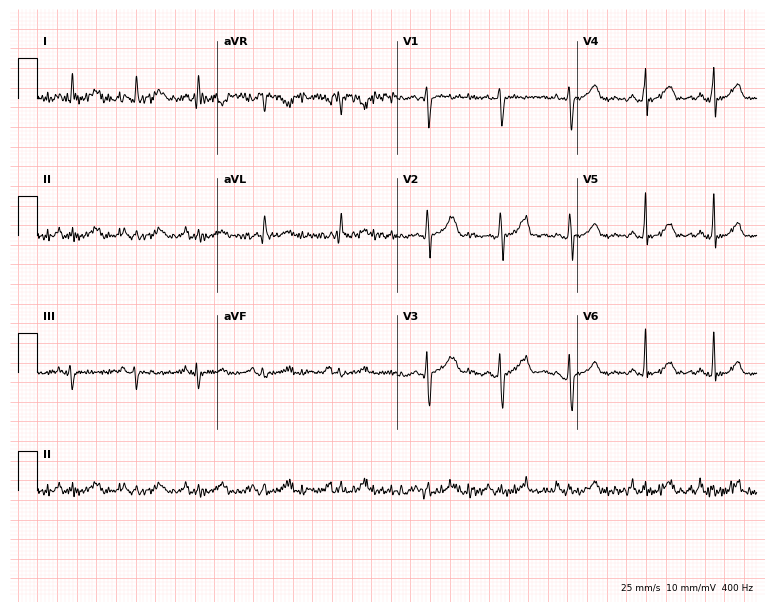
ECG (7.3-second recording at 400 Hz) — a 34-year-old female patient. Screened for six findings — first-degree AV block, right bundle branch block (RBBB), left bundle branch block (LBBB), sinus bradycardia, atrial fibrillation (AF), sinus tachycardia — none is recorded.